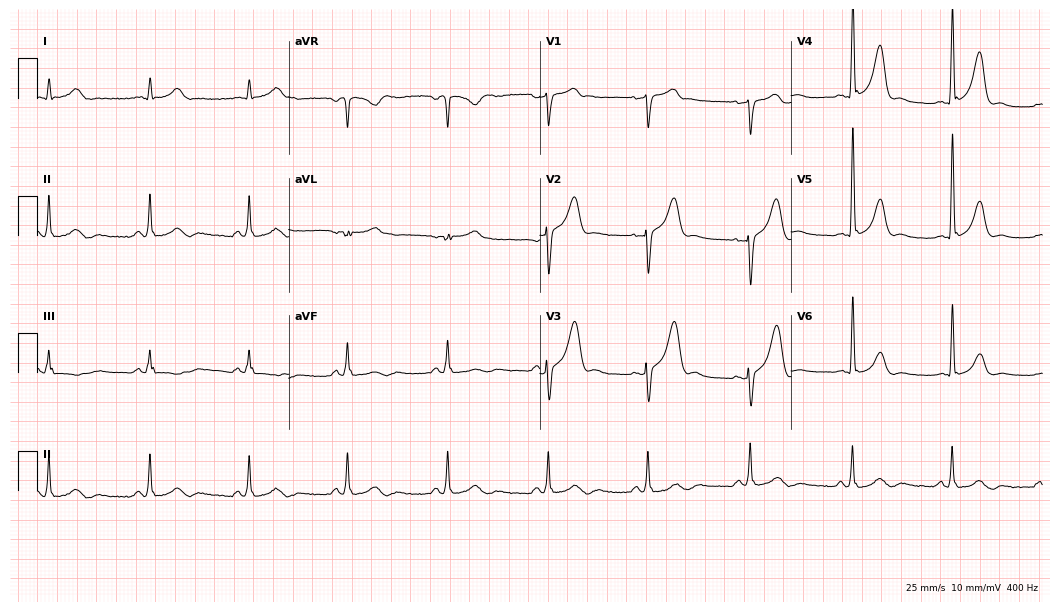
Resting 12-lead electrocardiogram (10.2-second recording at 400 Hz). Patient: a 44-year-old male. None of these six findings is recorded: first-degree AV block, right bundle branch block, left bundle branch block, sinus bradycardia, atrial fibrillation, sinus tachycardia.